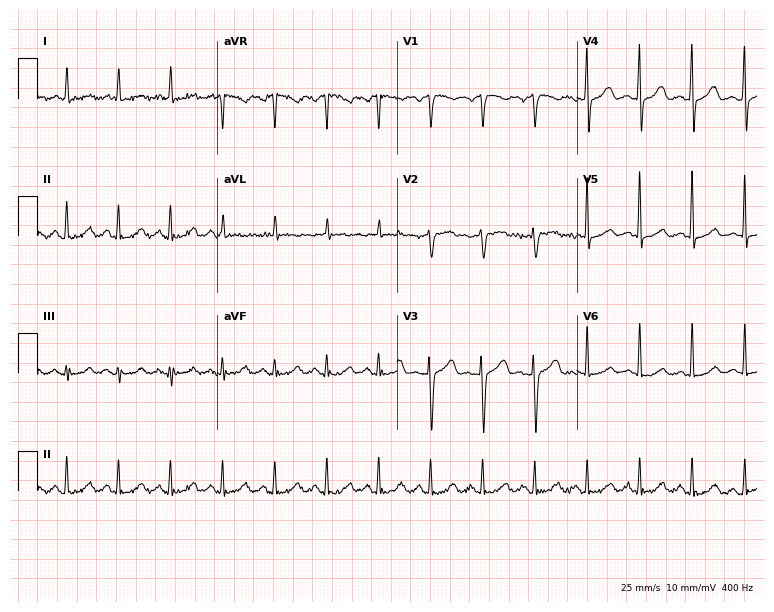
Standard 12-lead ECG recorded from a female patient, 69 years old (7.3-second recording at 400 Hz). None of these six findings is recorded: first-degree AV block, right bundle branch block (RBBB), left bundle branch block (LBBB), sinus bradycardia, atrial fibrillation (AF), sinus tachycardia.